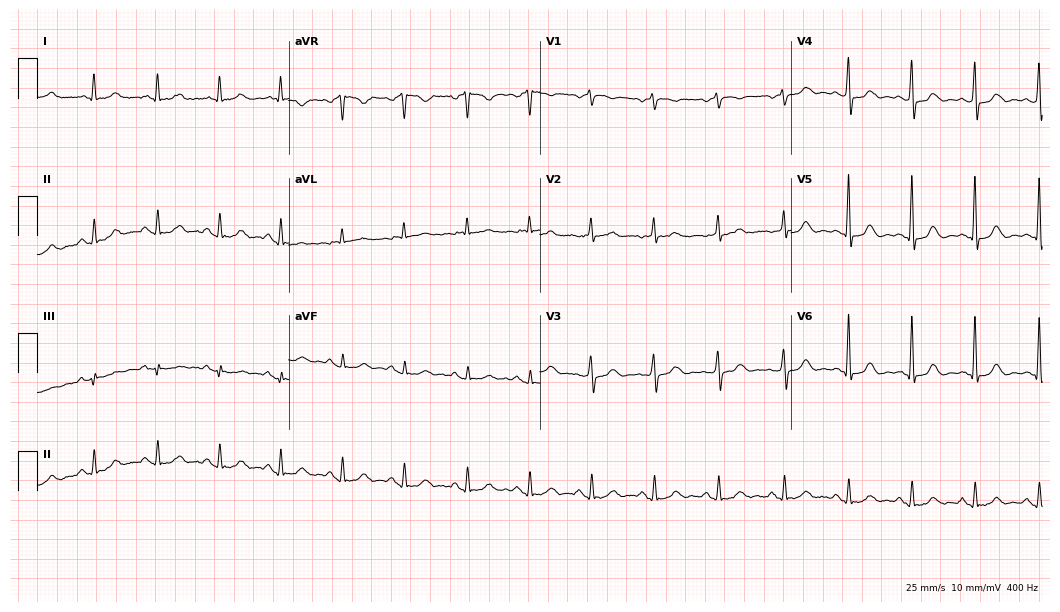
Electrocardiogram (10.2-second recording at 400 Hz), a female patient, 69 years old. Overall reading on record: normal ECG.